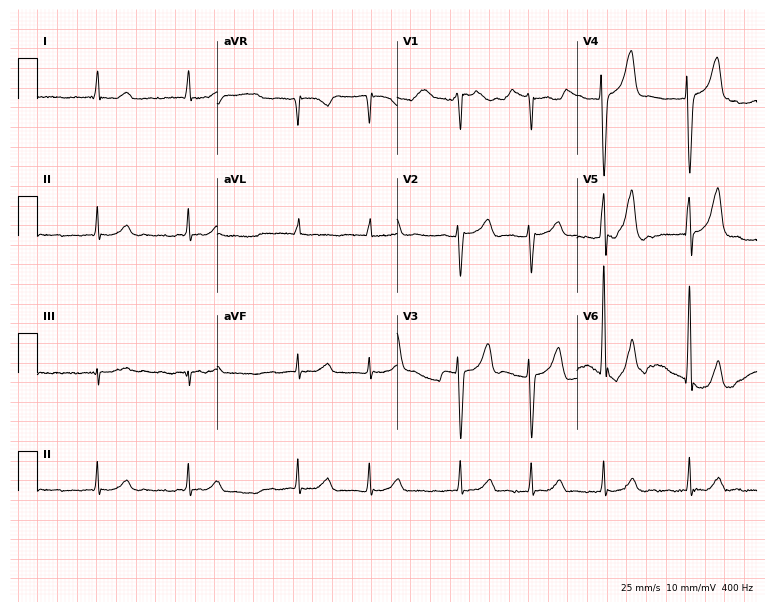
Resting 12-lead electrocardiogram (7.3-second recording at 400 Hz). Patient: a male, 75 years old. The tracing shows atrial fibrillation.